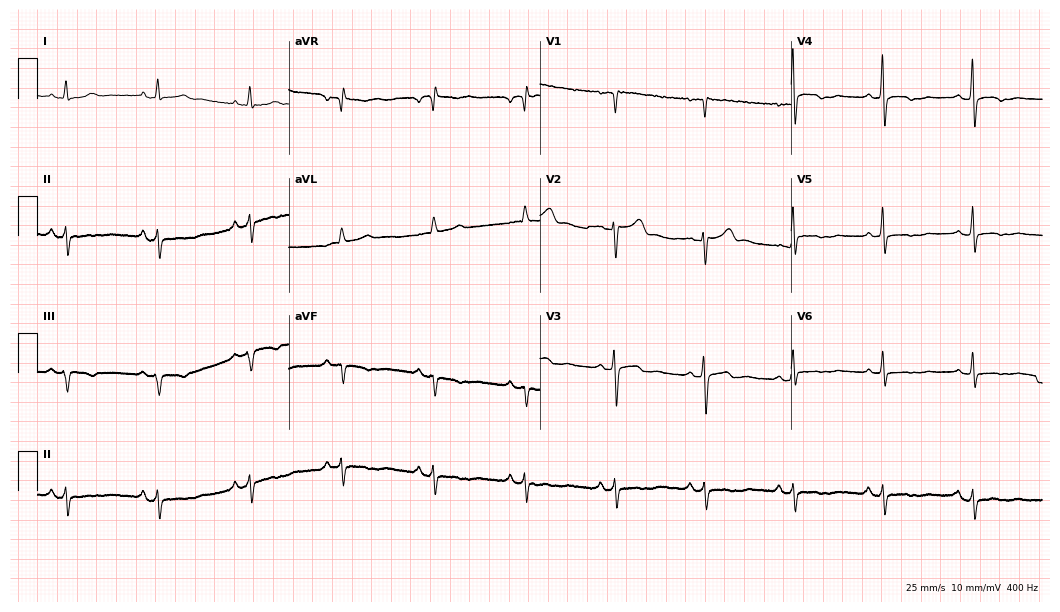
12-lead ECG from a woman, 41 years old. Screened for six findings — first-degree AV block, right bundle branch block, left bundle branch block, sinus bradycardia, atrial fibrillation, sinus tachycardia — none is recorded. Other findings, if any, are not listed.